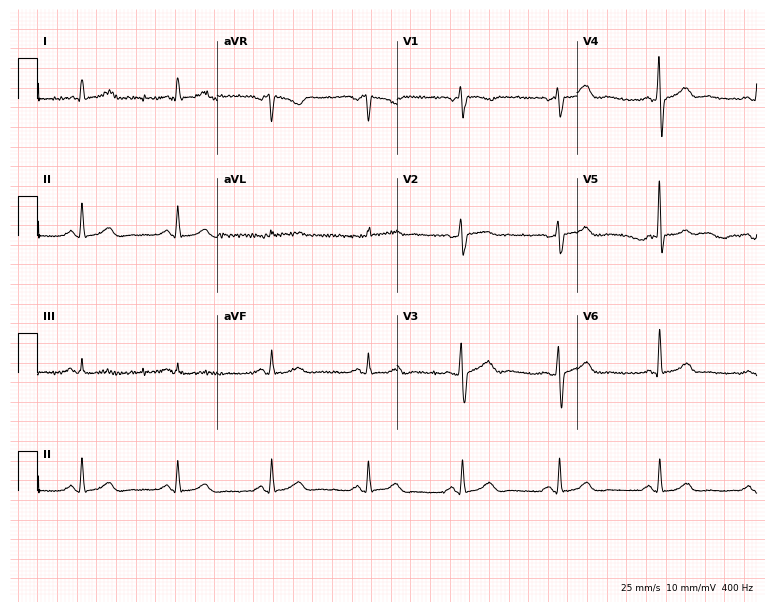
ECG (7.3-second recording at 400 Hz) — a 63-year-old man. Labelled as a normal ECG.